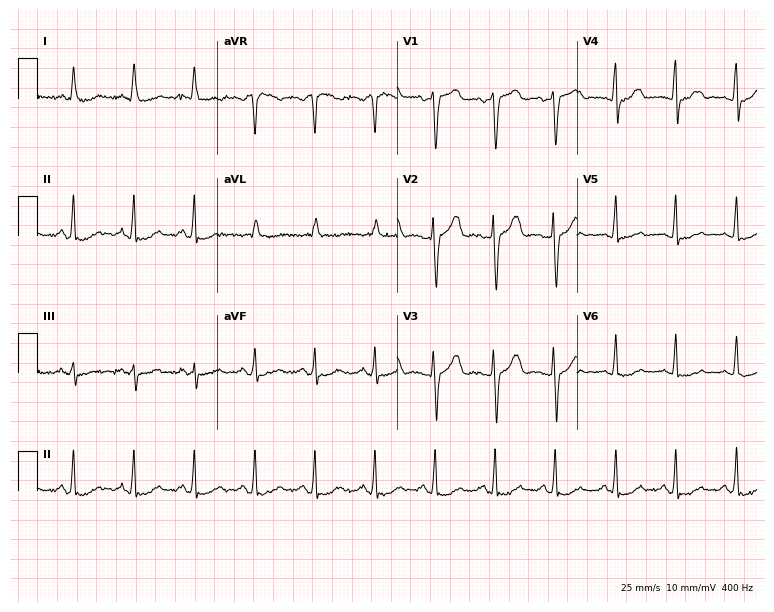
12-lead ECG from a 51-year-old woman. Recorded interpretation: within normal limits.